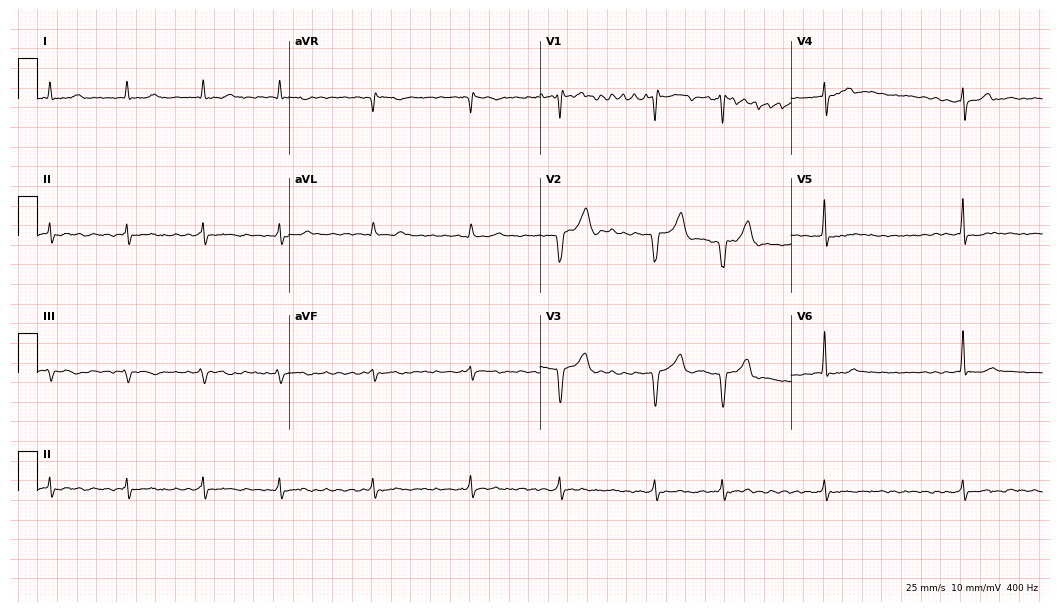
12-lead ECG from a male patient, 66 years old (10.2-second recording at 400 Hz). Shows atrial fibrillation (AF).